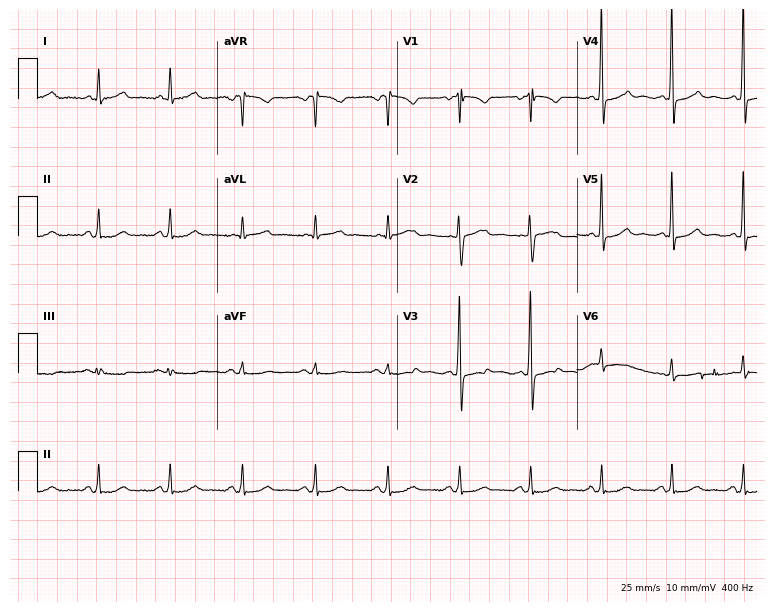
Electrocardiogram (7.3-second recording at 400 Hz), a female patient, 53 years old. Overall reading on record: normal ECG.